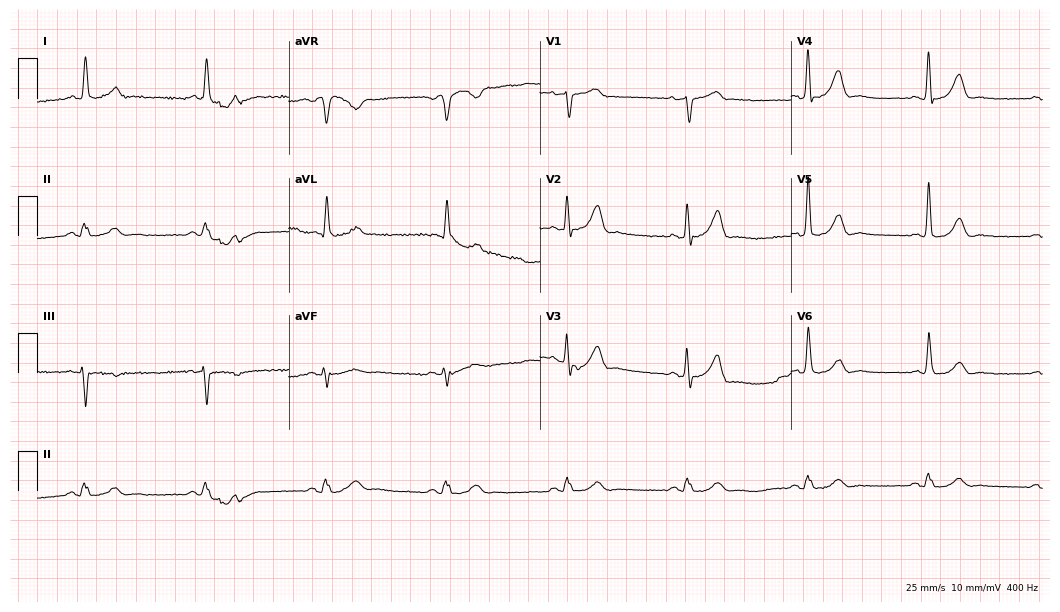
12-lead ECG from a man, 80 years old. Shows sinus bradycardia (a sinus rate of 50 beats per minute or less).